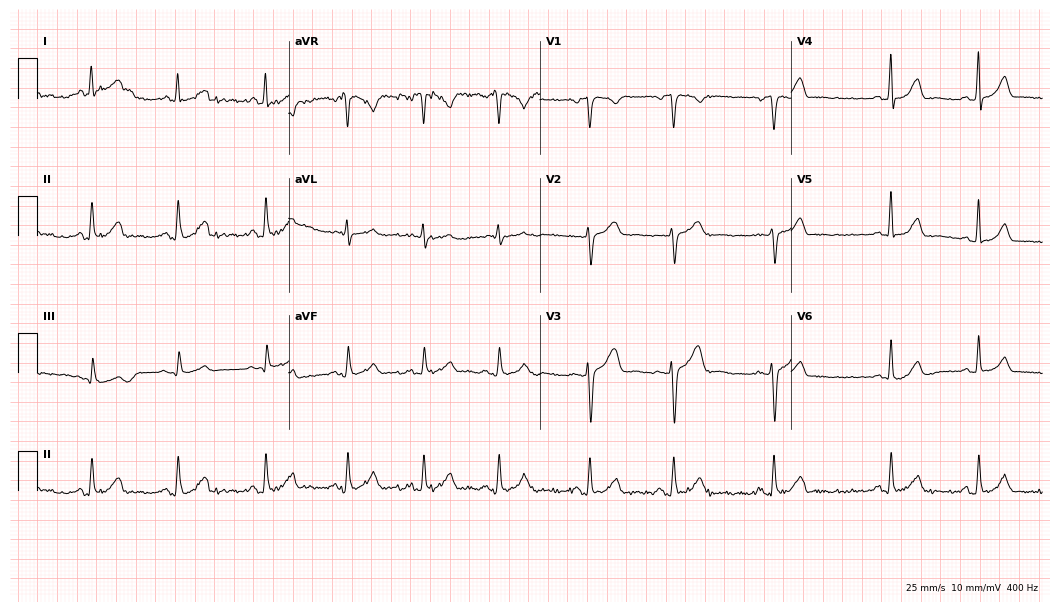
ECG — a 29-year-old female. Screened for six findings — first-degree AV block, right bundle branch block, left bundle branch block, sinus bradycardia, atrial fibrillation, sinus tachycardia — none is recorded. Findings outside these six are not listed.